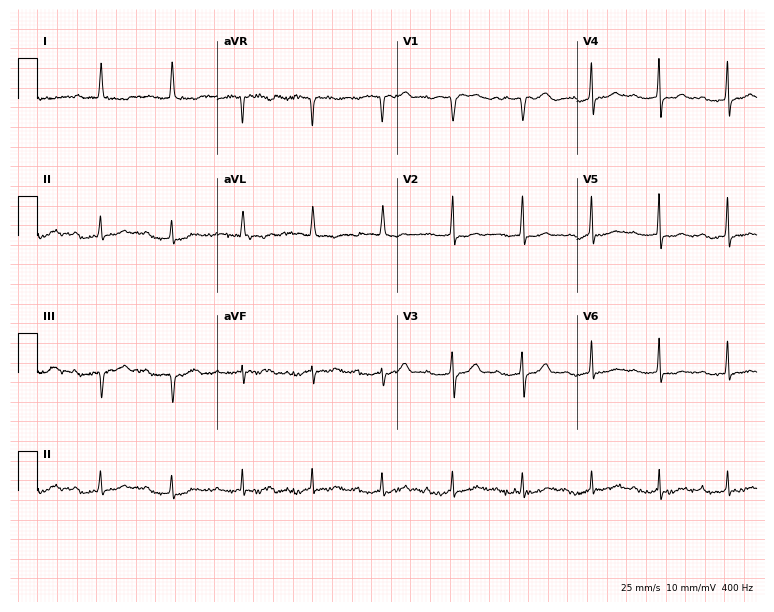
Electrocardiogram, a female, 78 years old. Interpretation includes first-degree AV block.